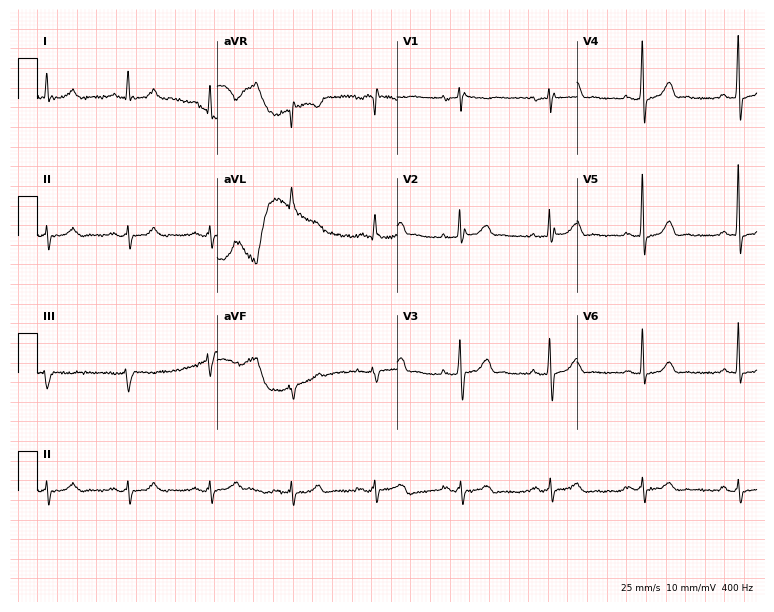
Electrocardiogram (7.3-second recording at 400 Hz), a man, 74 years old. Of the six screened findings (first-degree AV block, right bundle branch block, left bundle branch block, sinus bradycardia, atrial fibrillation, sinus tachycardia), none is recorded.